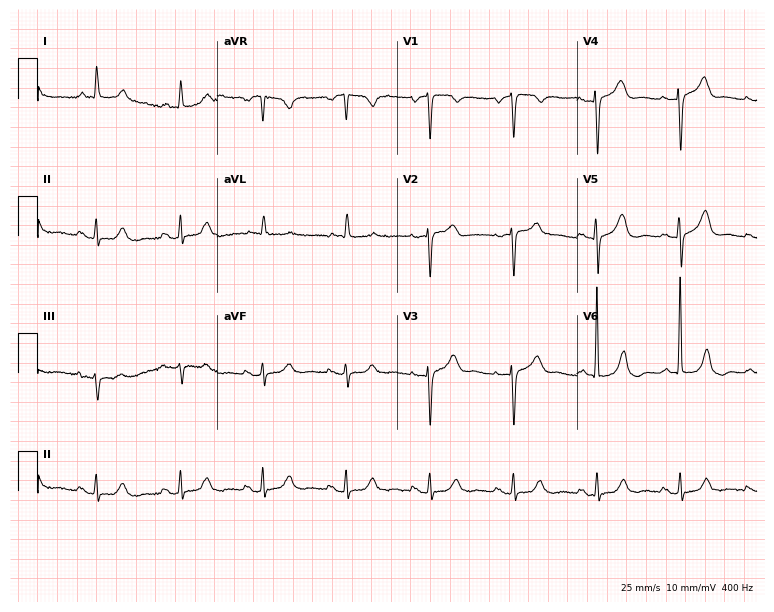
12-lead ECG (7.3-second recording at 400 Hz) from a 76-year-old woman. Screened for six findings — first-degree AV block, right bundle branch block, left bundle branch block, sinus bradycardia, atrial fibrillation, sinus tachycardia — none is recorded. Only these six findings were labelled.